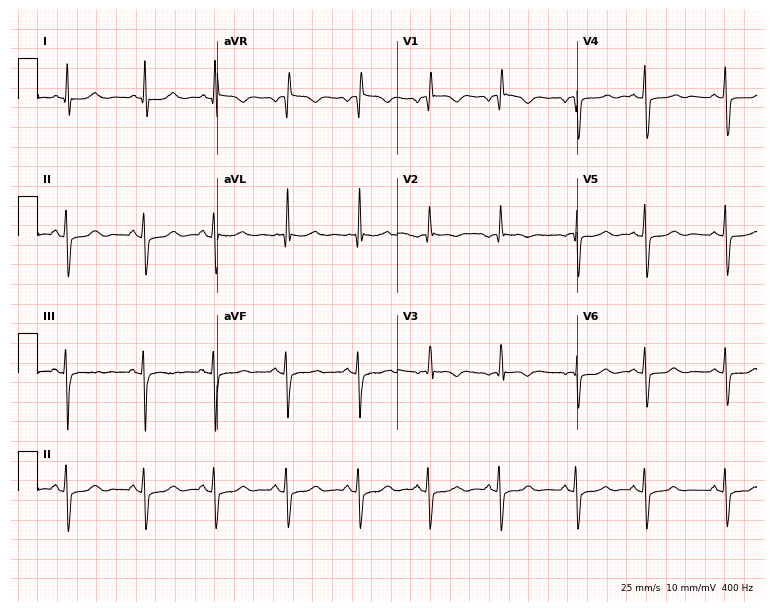
12-lead ECG from a female patient, 69 years old. No first-degree AV block, right bundle branch block (RBBB), left bundle branch block (LBBB), sinus bradycardia, atrial fibrillation (AF) or sinus tachycardia recorded for this tracing. Only these six findings were labelled.